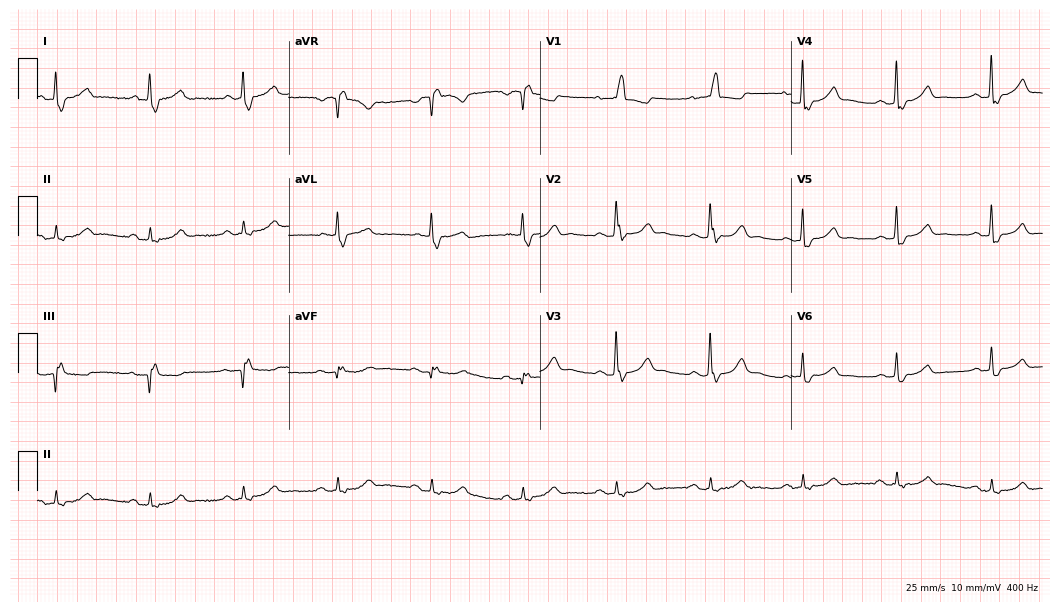
Resting 12-lead electrocardiogram. Patient: a female, 74 years old. The tracing shows right bundle branch block.